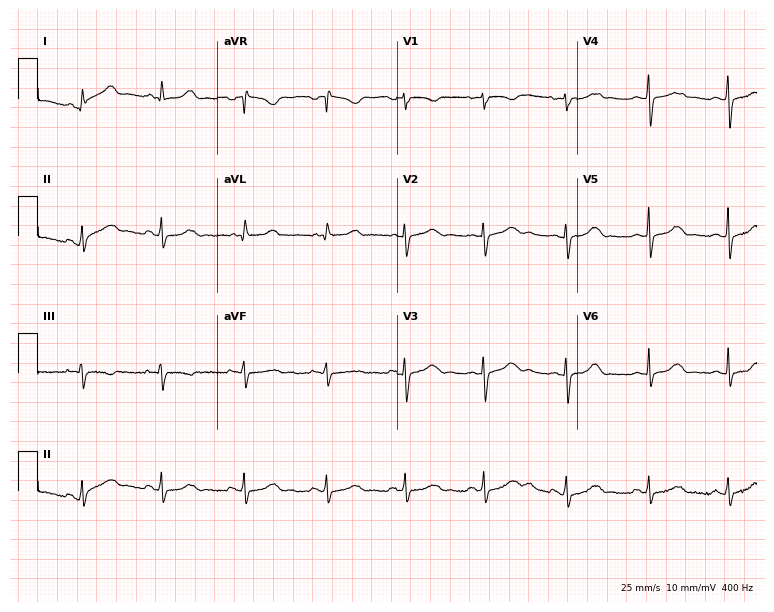
Electrocardiogram (7.3-second recording at 400 Hz), a 24-year-old female patient. Overall reading on record: normal ECG.